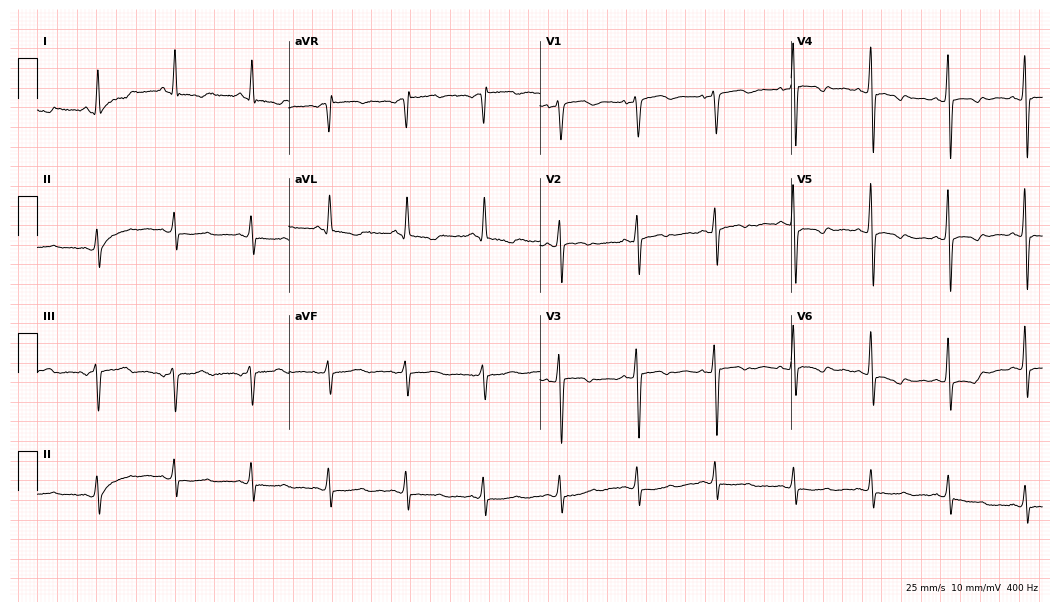
Resting 12-lead electrocardiogram. Patient: a female, 61 years old. None of these six findings is recorded: first-degree AV block, right bundle branch block (RBBB), left bundle branch block (LBBB), sinus bradycardia, atrial fibrillation (AF), sinus tachycardia.